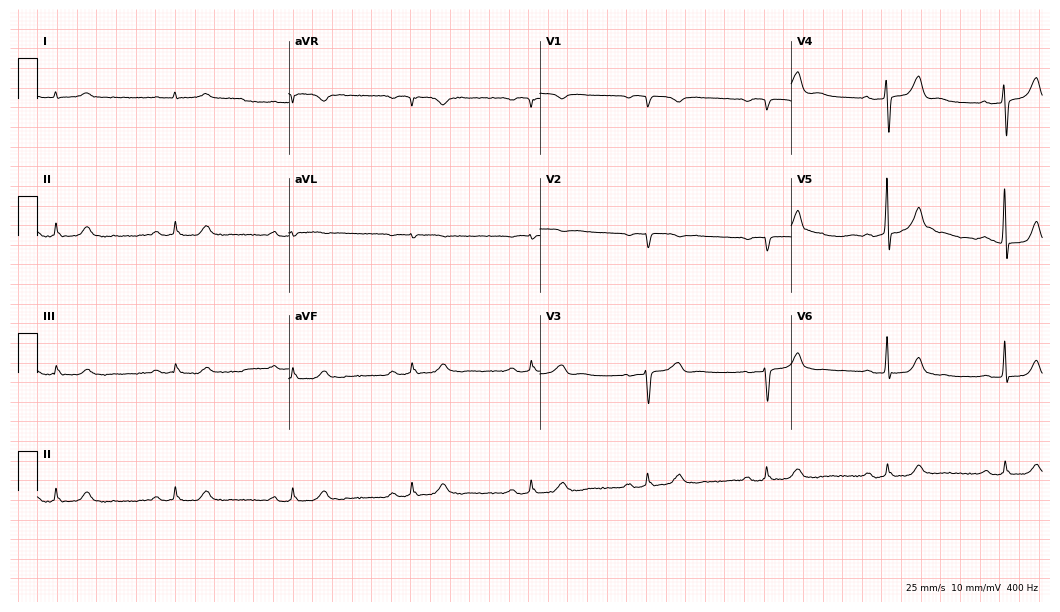
Standard 12-lead ECG recorded from a 77-year-old male patient (10.2-second recording at 400 Hz). The tracing shows first-degree AV block, right bundle branch block (RBBB), sinus bradycardia (a sinus rate of 50 beats per minute or less).